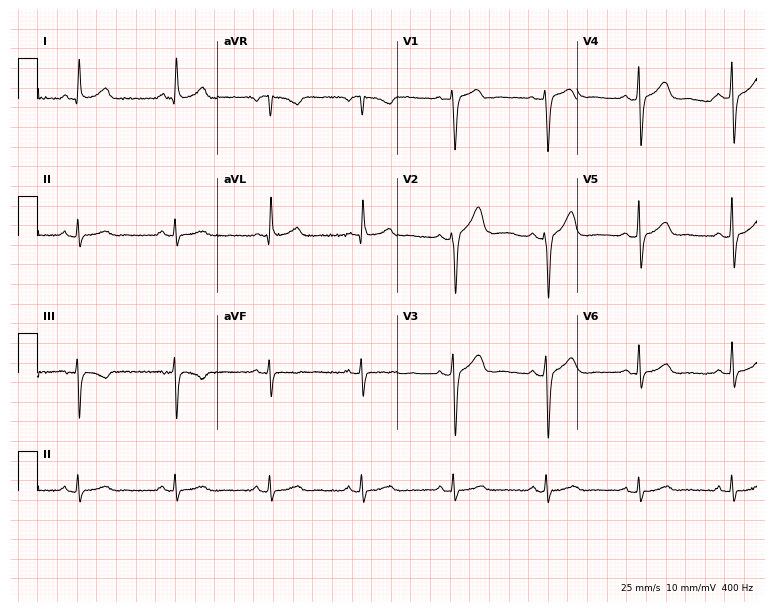
ECG (7.3-second recording at 400 Hz) — a male patient, 64 years old. Labelled as a normal ECG.